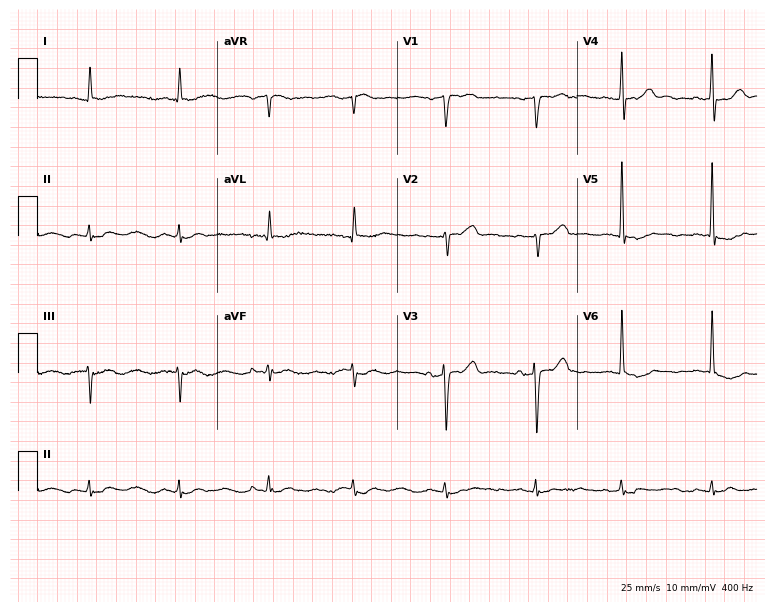
ECG — a male patient, 83 years old. Screened for six findings — first-degree AV block, right bundle branch block (RBBB), left bundle branch block (LBBB), sinus bradycardia, atrial fibrillation (AF), sinus tachycardia — none is recorded.